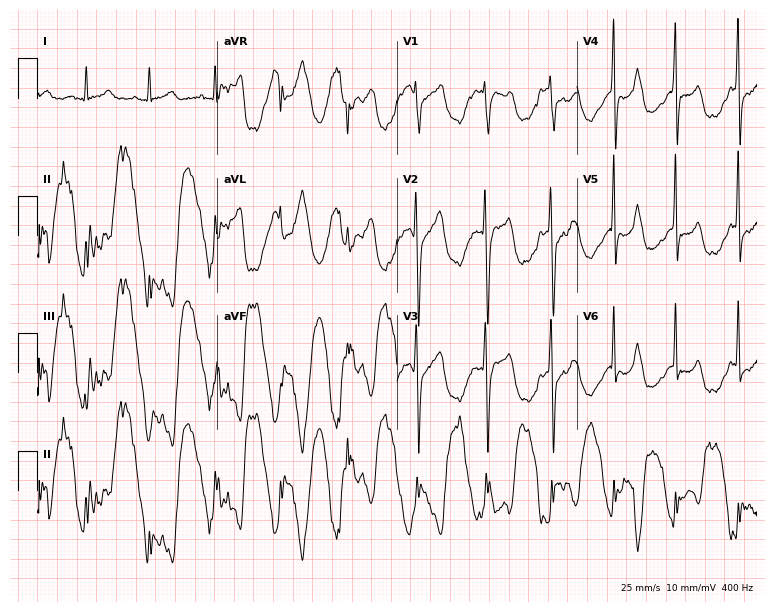
ECG — a male, 25 years old. Screened for six findings — first-degree AV block, right bundle branch block, left bundle branch block, sinus bradycardia, atrial fibrillation, sinus tachycardia — none is recorded.